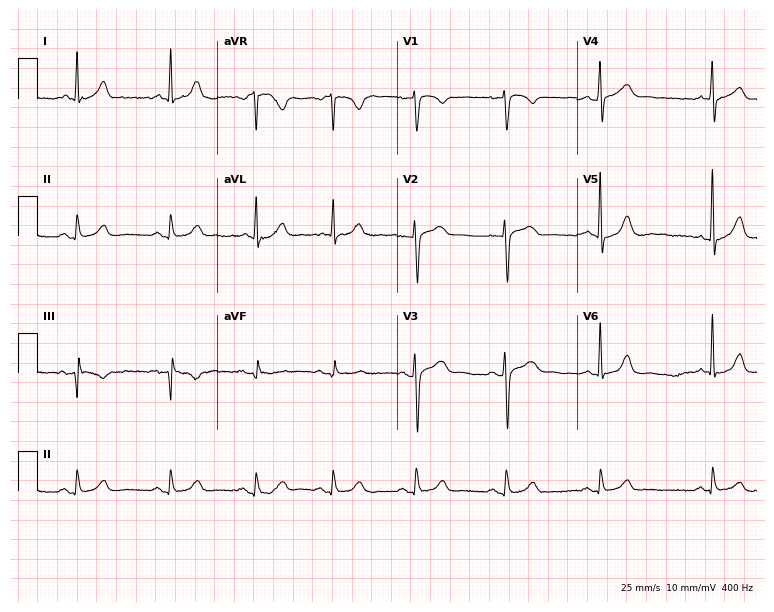
12-lead ECG from a female patient, 39 years old (7.3-second recording at 400 Hz). Recorded interpretation: within normal limits.